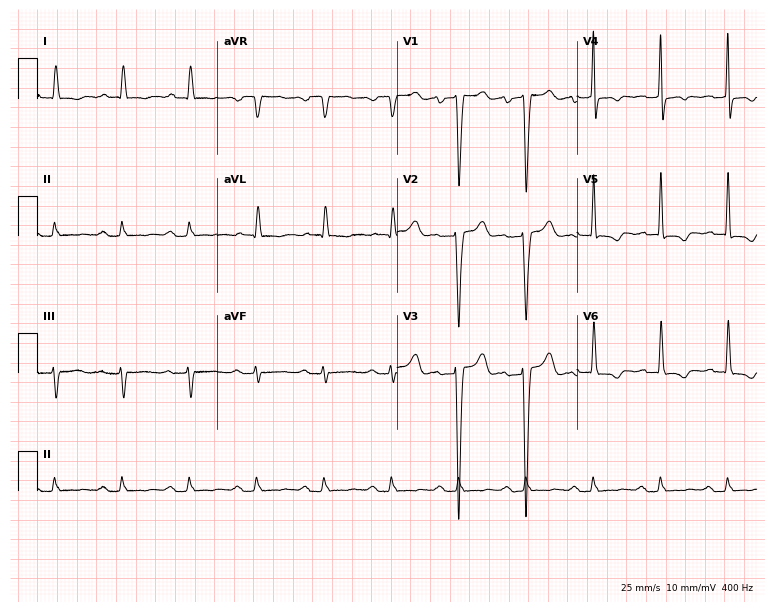
ECG — a 76-year-old female. Findings include first-degree AV block.